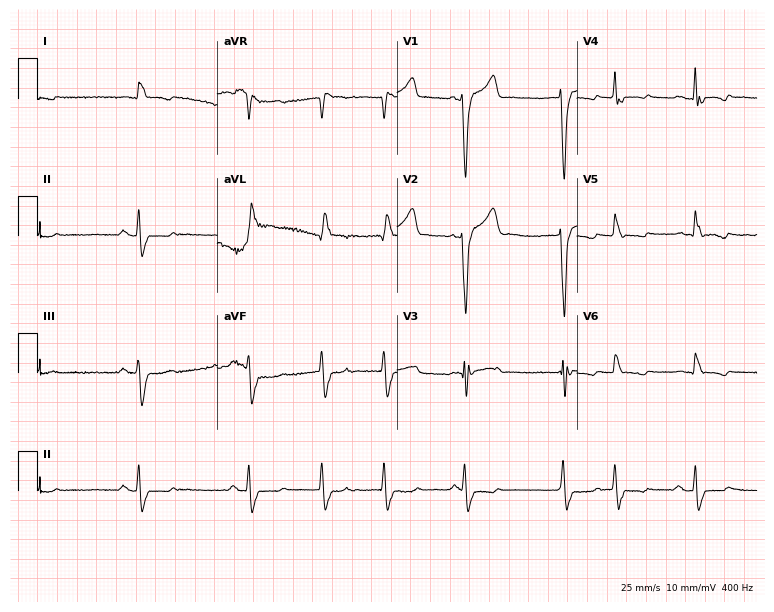
Resting 12-lead electrocardiogram. Patient: an 84-year-old male. The tracing shows left bundle branch block.